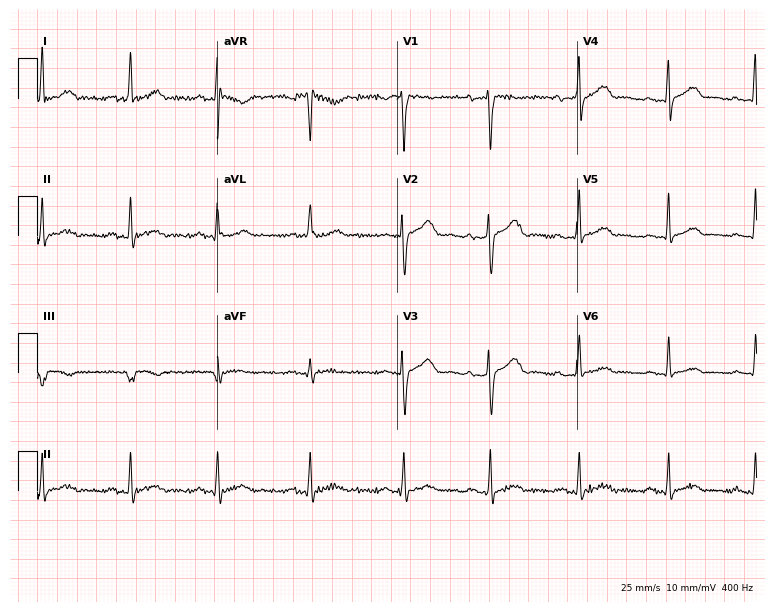
12-lead ECG from a 35-year-old female patient. No first-degree AV block, right bundle branch block, left bundle branch block, sinus bradycardia, atrial fibrillation or sinus tachycardia recorded for this tracing. Only these six findings were labelled.